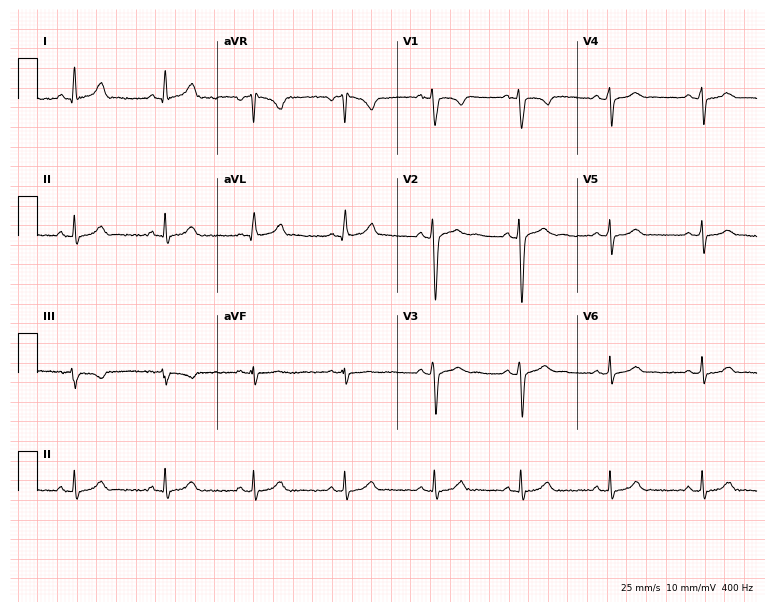
Electrocardiogram, a man, 28 years old. Overall reading on record: normal ECG.